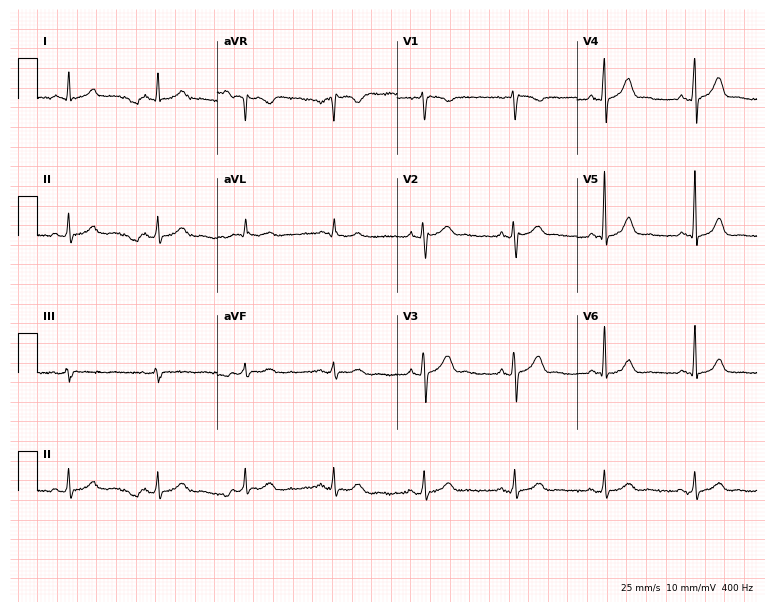
Standard 12-lead ECG recorded from a male, 57 years old (7.3-second recording at 400 Hz). None of these six findings is recorded: first-degree AV block, right bundle branch block, left bundle branch block, sinus bradycardia, atrial fibrillation, sinus tachycardia.